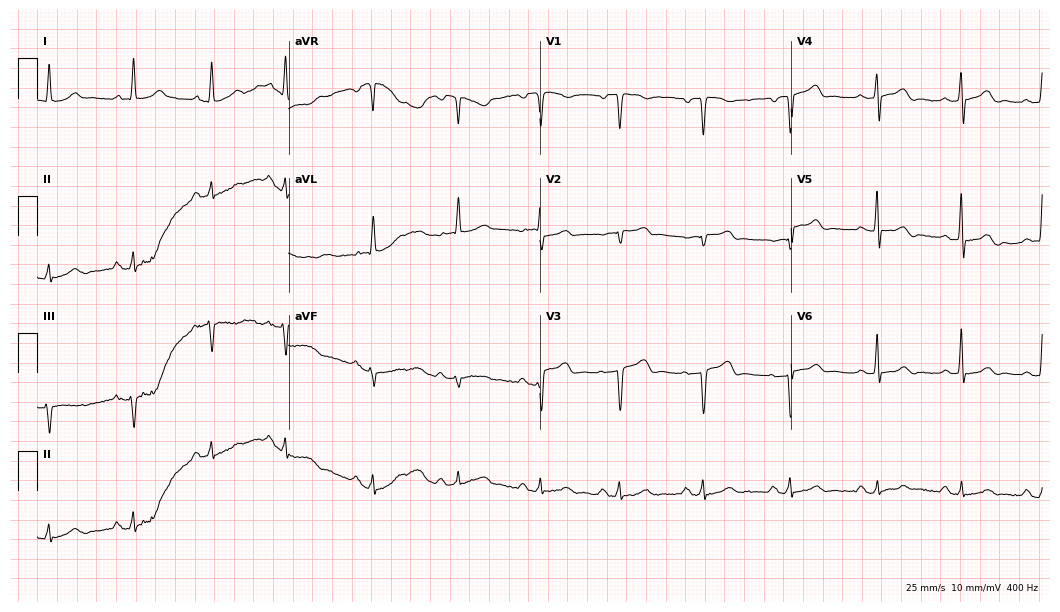
Resting 12-lead electrocardiogram. Patient: a female, 63 years old. Read as a normal ECG.